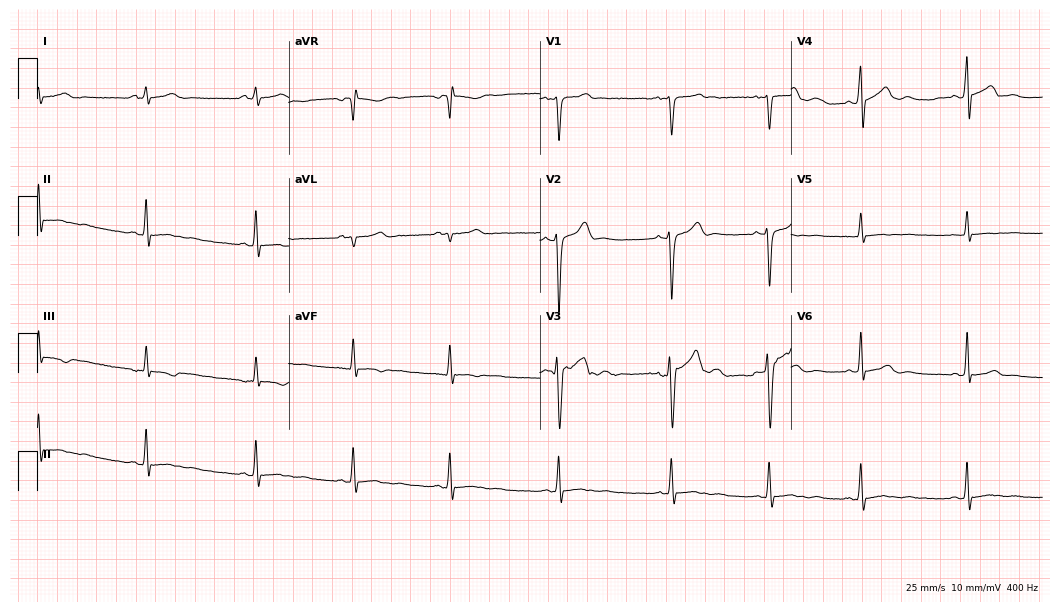
Standard 12-lead ECG recorded from a 26-year-old man. Read as a normal ECG.